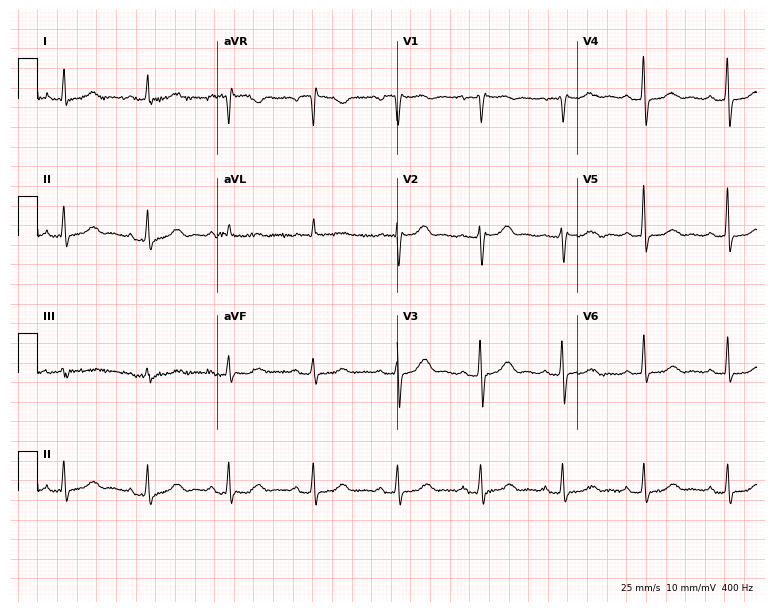
12-lead ECG from a 71-year-old female patient. Labelled as a normal ECG.